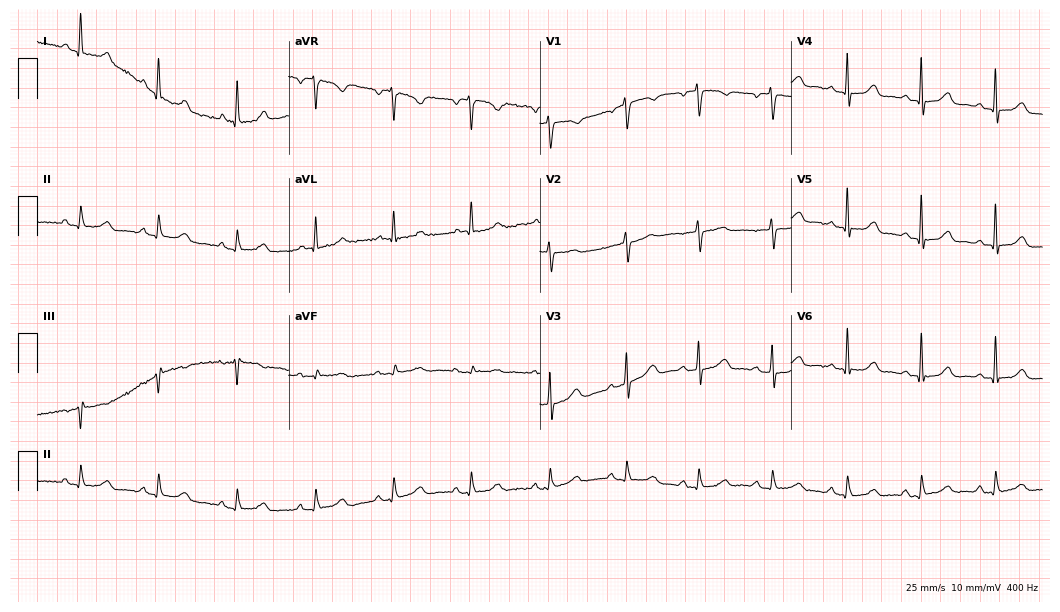
Electrocardiogram, a 64-year-old woman. Overall reading on record: normal ECG.